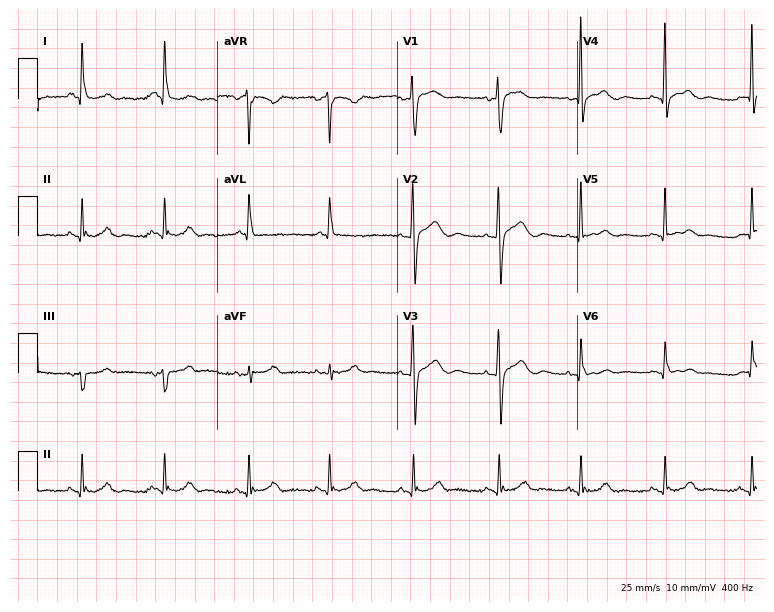
ECG (7.3-second recording at 400 Hz) — a 60-year-old female. Screened for six findings — first-degree AV block, right bundle branch block (RBBB), left bundle branch block (LBBB), sinus bradycardia, atrial fibrillation (AF), sinus tachycardia — none is recorded. Other findings, if any, are not listed.